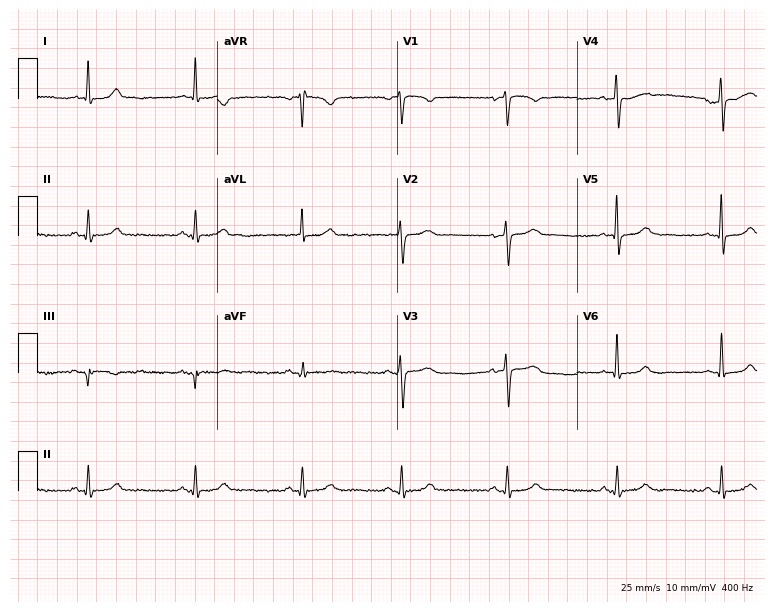
Resting 12-lead electrocardiogram. Patient: a female, 48 years old. Read as a normal ECG.